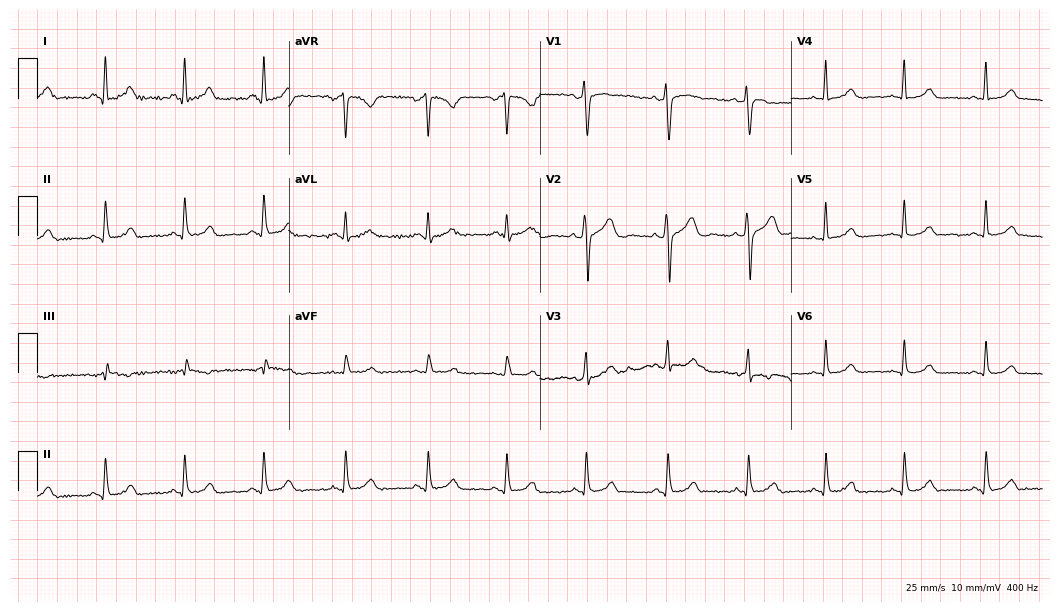
Electrocardiogram (10.2-second recording at 400 Hz), a 45-year-old female. Overall reading on record: normal ECG.